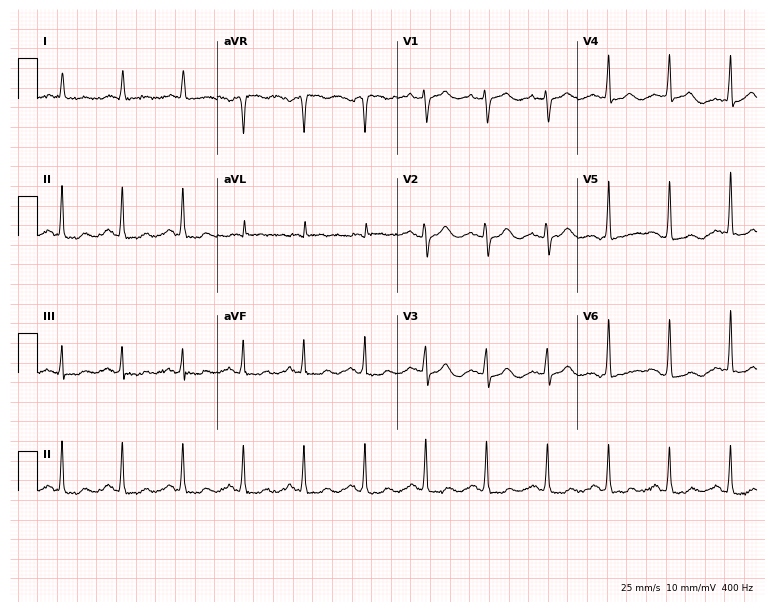
12-lead ECG (7.3-second recording at 400 Hz) from a 68-year-old female patient. Labelled as a normal ECG.